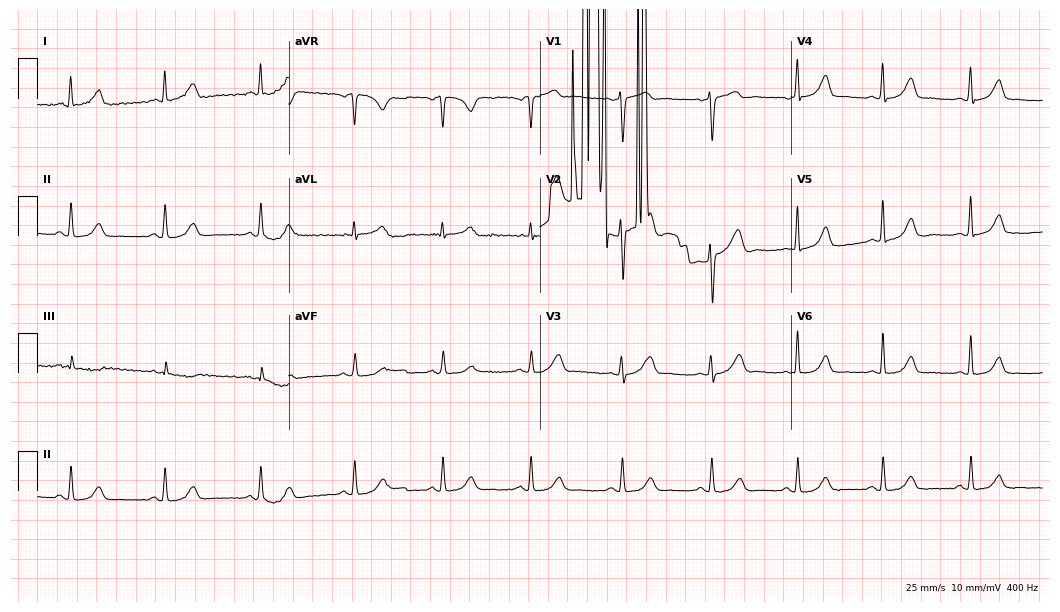
12-lead ECG from a woman, 41 years old (10.2-second recording at 400 Hz). Recorded interpretation: within normal limits.